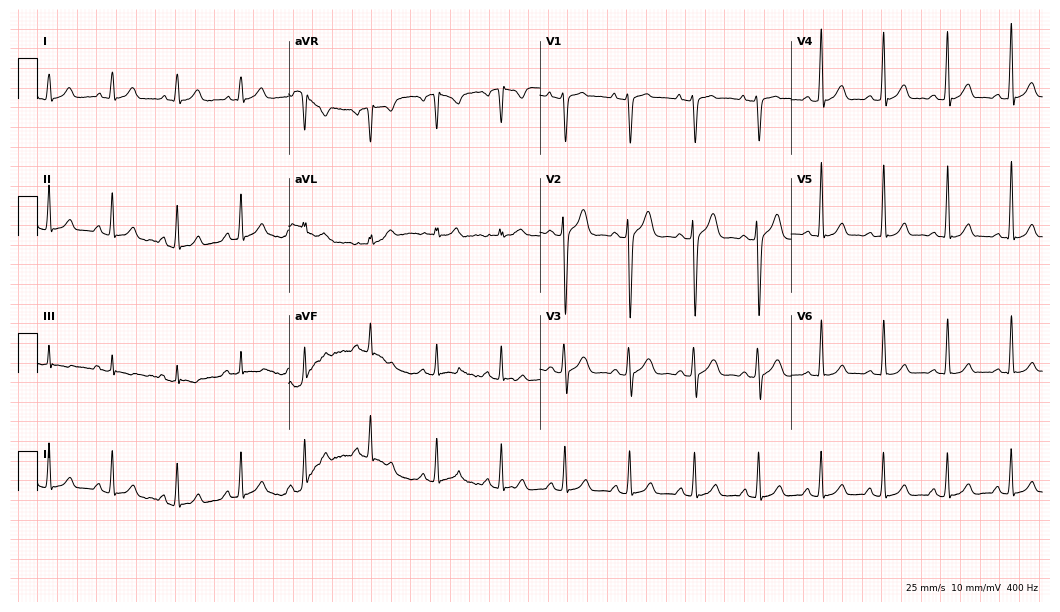
Resting 12-lead electrocardiogram. Patient: a male, 18 years old. None of these six findings is recorded: first-degree AV block, right bundle branch block, left bundle branch block, sinus bradycardia, atrial fibrillation, sinus tachycardia.